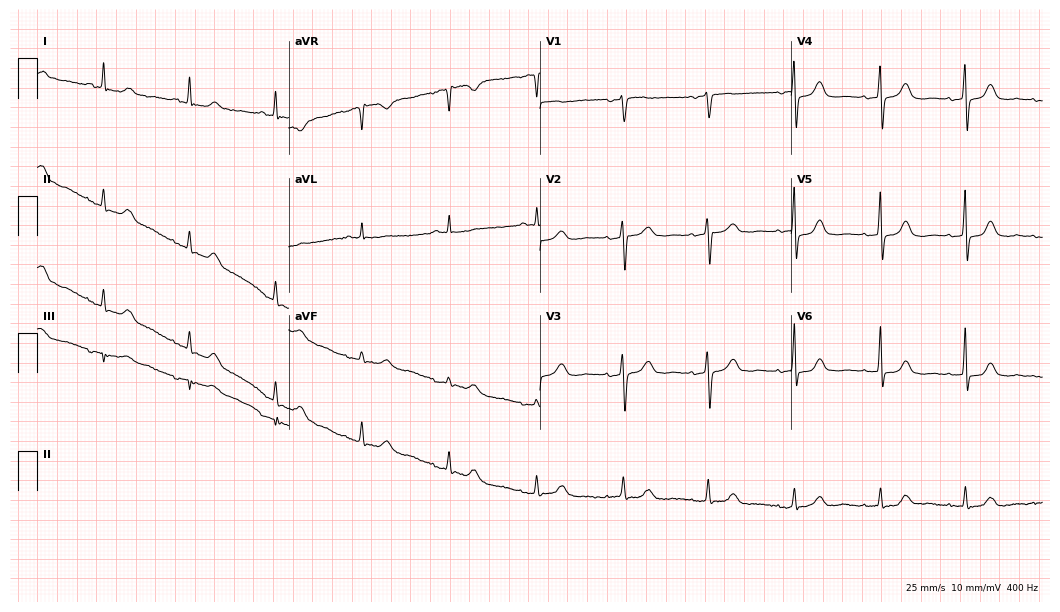
12-lead ECG from a female, 78 years old (10.2-second recording at 400 Hz). No first-degree AV block, right bundle branch block (RBBB), left bundle branch block (LBBB), sinus bradycardia, atrial fibrillation (AF) or sinus tachycardia recorded for this tracing.